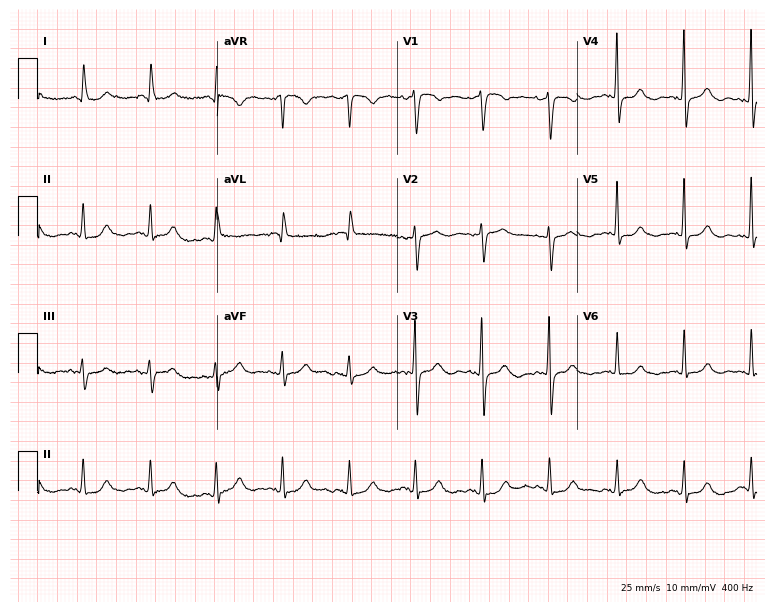
12-lead ECG from a female patient, 85 years old. Screened for six findings — first-degree AV block, right bundle branch block, left bundle branch block, sinus bradycardia, atrial fibrillation, sinus tachycardia — none is recorded.